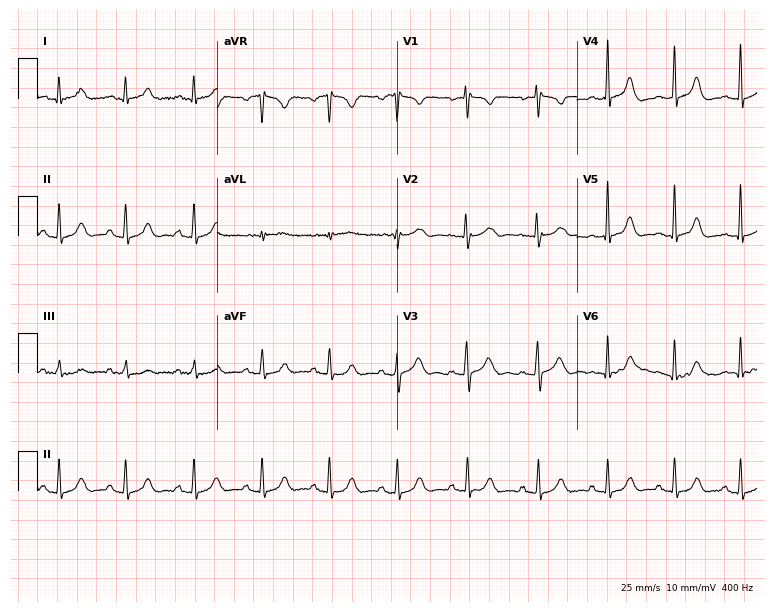
Electrocardiogram, a 36-year-old female patient. Overall reading on record: normal ECG.